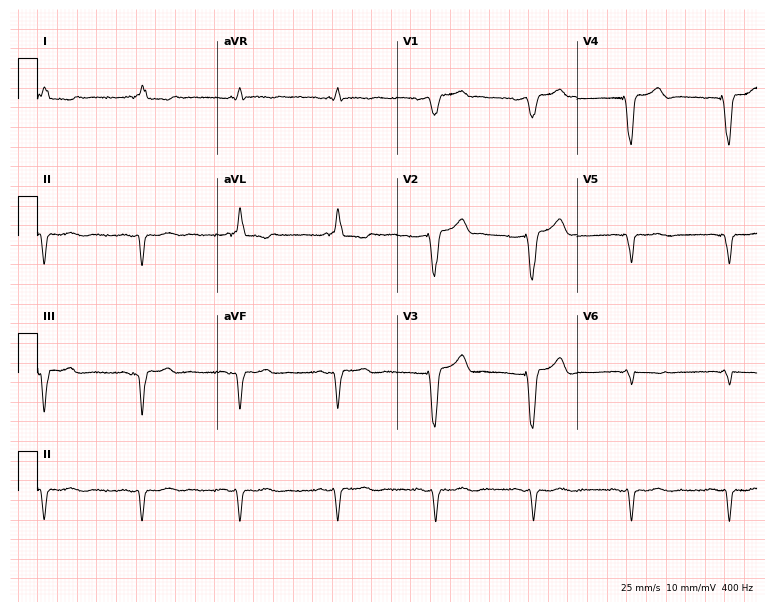
Electrocardiogram, a female patient, 75 years old. Of the six screened findings (first-degree AV block, right bundle branch block, left bundle branch block, sinus bradycardia, atrial fibrillation, sinus tachycardia), none is recorded. Only these six findings were labelled.